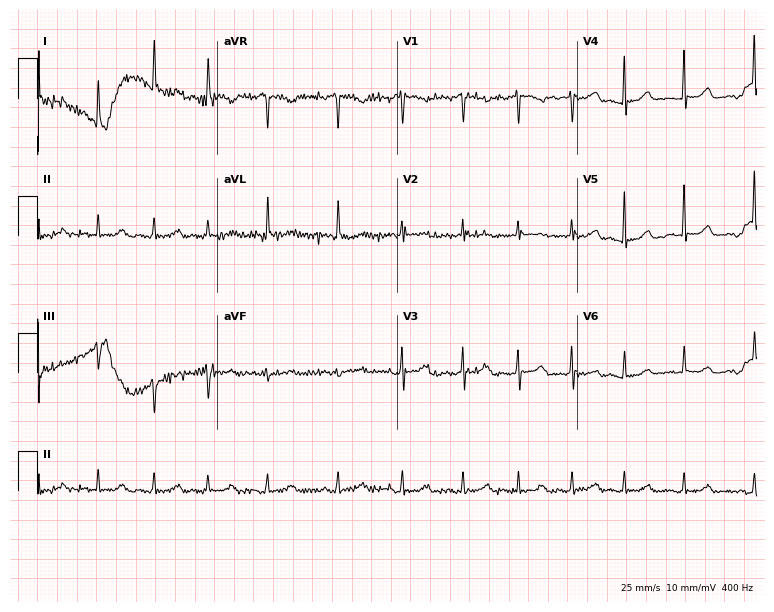
Standard 12-lead ECG recorded from a woman, 78 years old (7.3-second recording at 400 Hz). None of these six findings is recorded: first-degree AV block, right bundle branch block, left bundle branch block, sinus bradycardia, atrial fibrillation, sinus tachycardia.